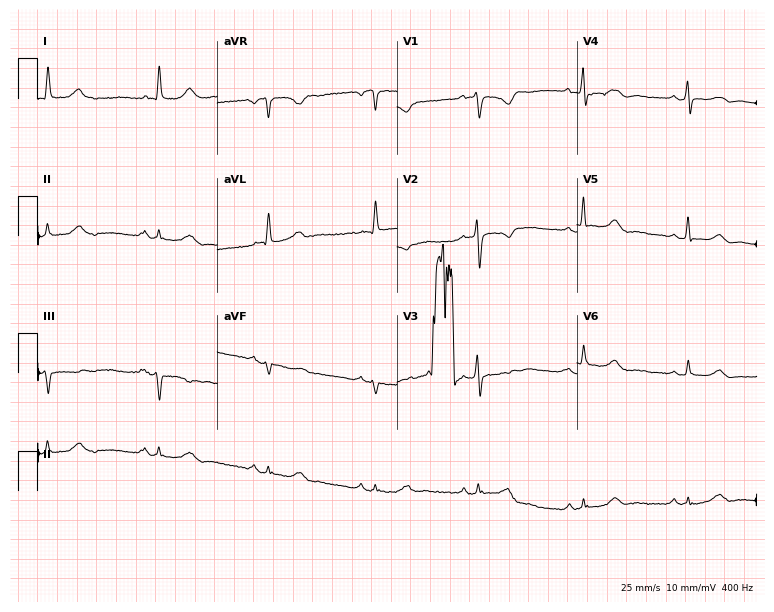
12-lead ECG from a 72-year-old female patient. Screened for six findings — first-degree AV block, right bundle branch block (RBBB), left bundle branch block (LBBB), sinus bradycardia, atrial fibrillation (AF), sinus tachycardia — none is recorded.